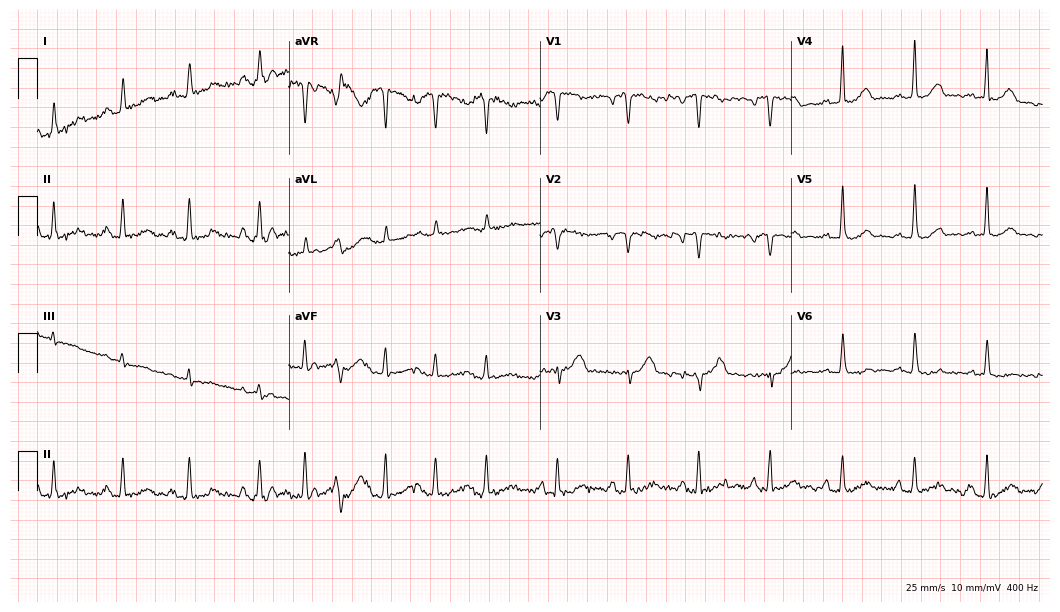
Electrocardiogram (10.2-second recording at 400 Hz), a 69-year-old male patient. Of the six screened findings (first-degree AV block, right bundle branch block, left bundle branch block, sinus bradycardia, atrial fibrillation, sinus tachycardia), none is recorded.